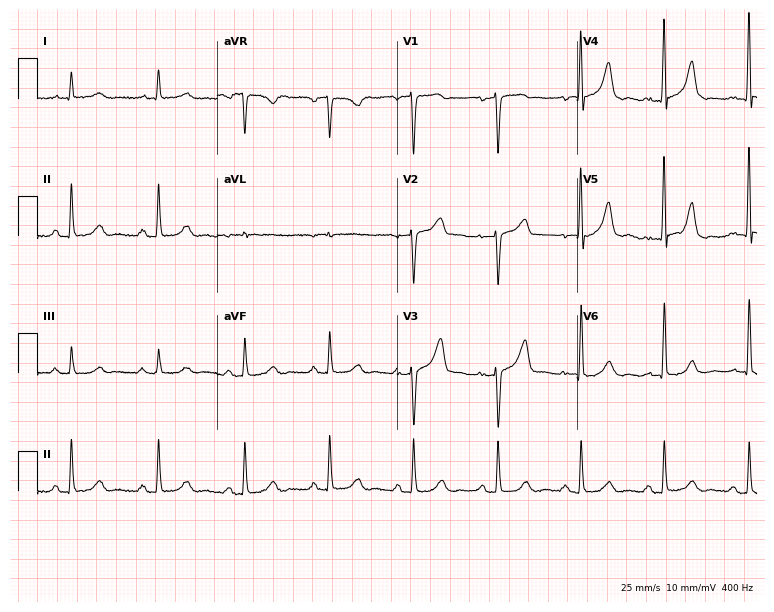
Standard 12-lead ECG recorded from a male, 70 years old (7.3-second recording at 400 Hz). None of these six findings is recorded: first-degree AV block, right bundle branch block (RBBB), left bundle branch block (LBBB), sinus bradycardia, atrial fibrillation (AF), sinus tachycardia.